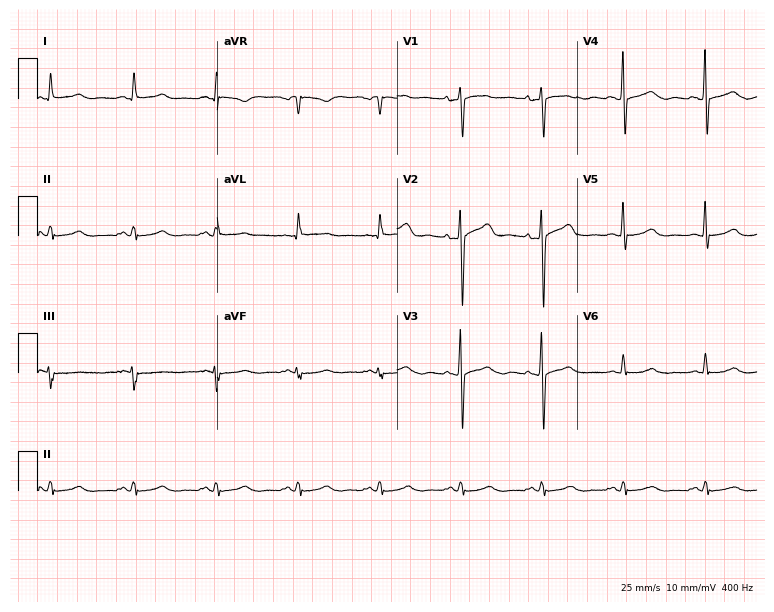
12-lead ECG from a female patient, 56 years old. Recorded interpretation: within normal limits.